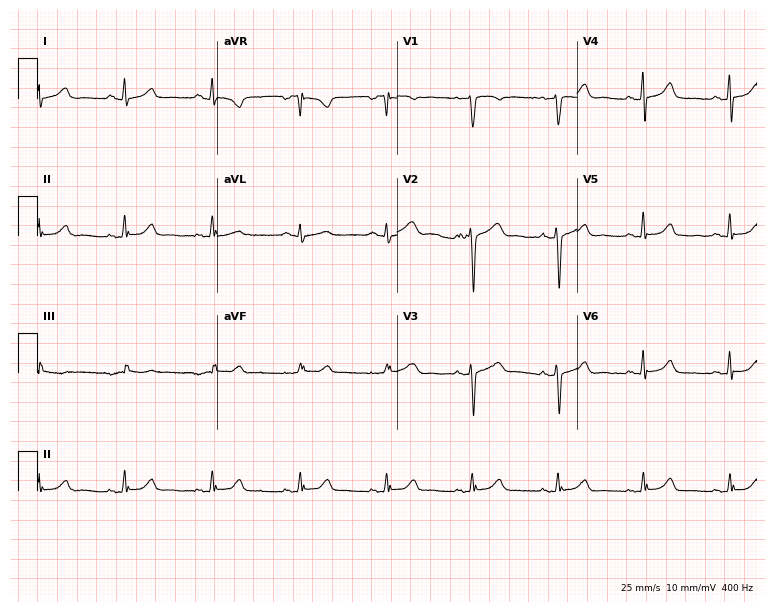
Resting 12-lead electrocardiogram (7.3-second recording at 400 Hz). Patient: a female, 56 years old. Read as a normal ECG.